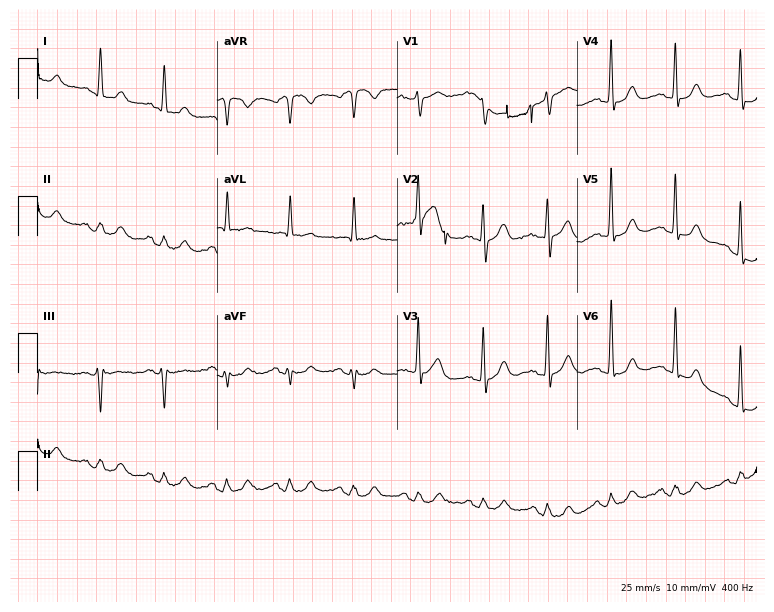
ECG (7.3-second recording at 400 Hz) — a 75-year-old man. Screened for six findings — first-degree AV block, right bundle branch block, left bundle branch block, sinus bradycardia, atrial fibrillation, sinus tachycardia — none is recorded.